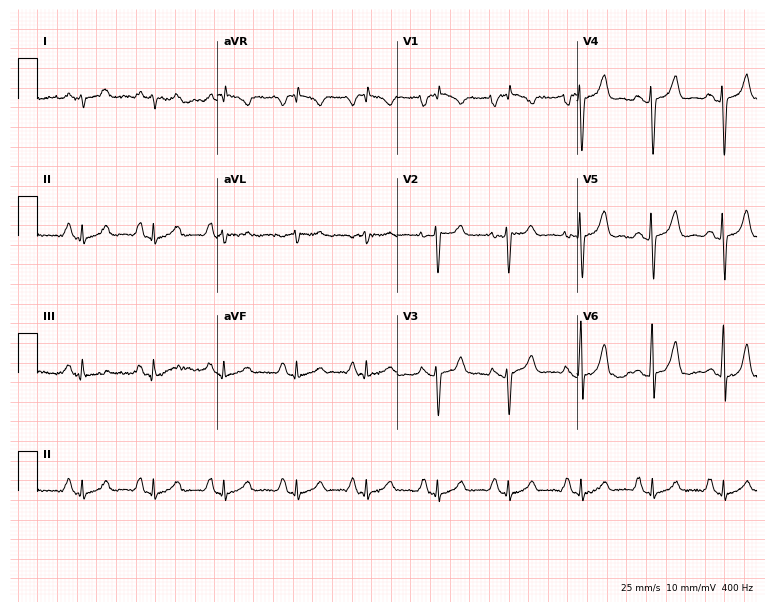
Standard 12-lead ECG recorded from a 45-year-old woman. None of these six findings is recorded: first-degree AV block, right bundle branch block (RBBB), left bundle branch block (LBBB), sinus bradycardia, atrial fibrillation (AF), sinus tachycardia. Findings outside these six are not listed.